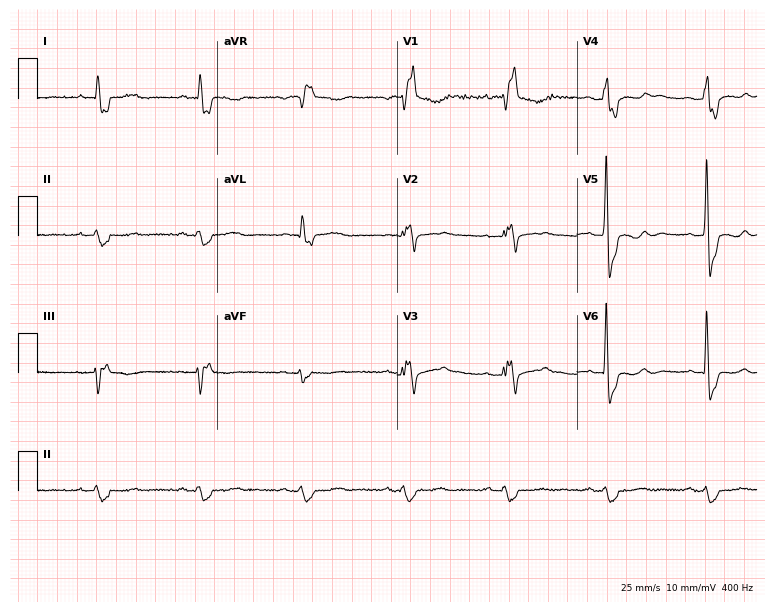
Electrocardiogram, a female patient, 50 years old. Interpretation includes right bundle branch block.